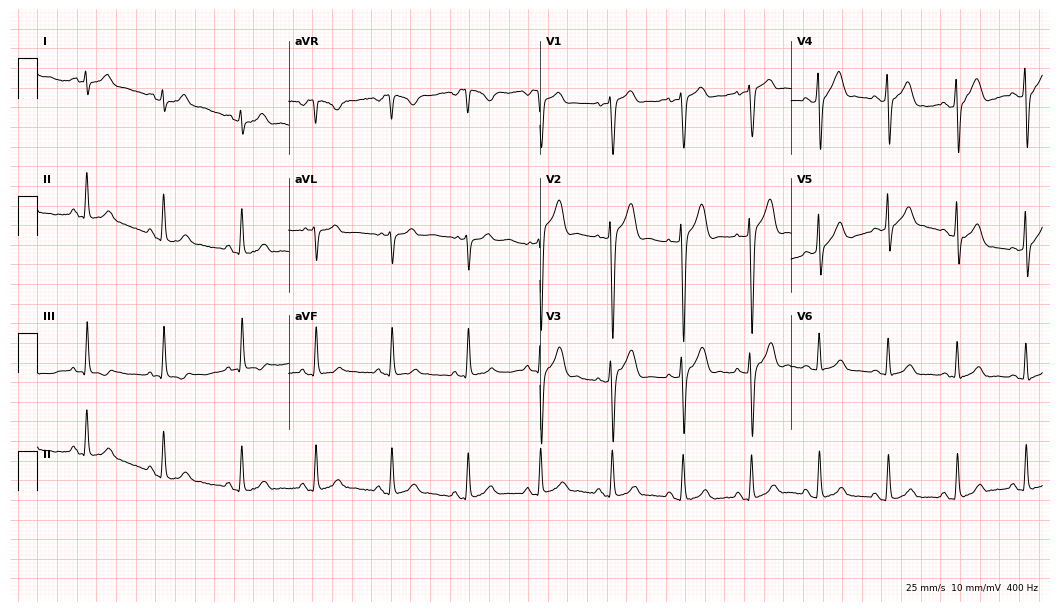
Electrocardiogram, a male, 42 years old. Overall reading on record: normal ECG.